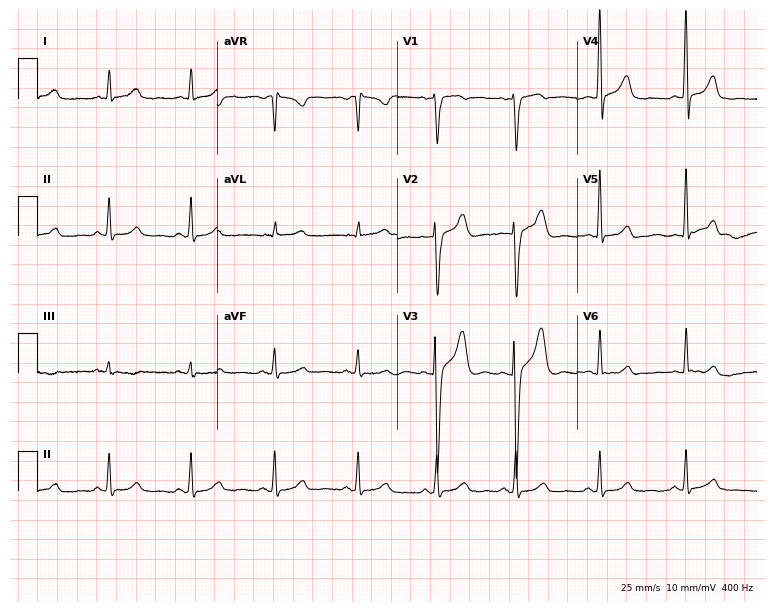
Standard 12-lead ECG recorded from a male patient, 33 years old. Read as a normal ECG.